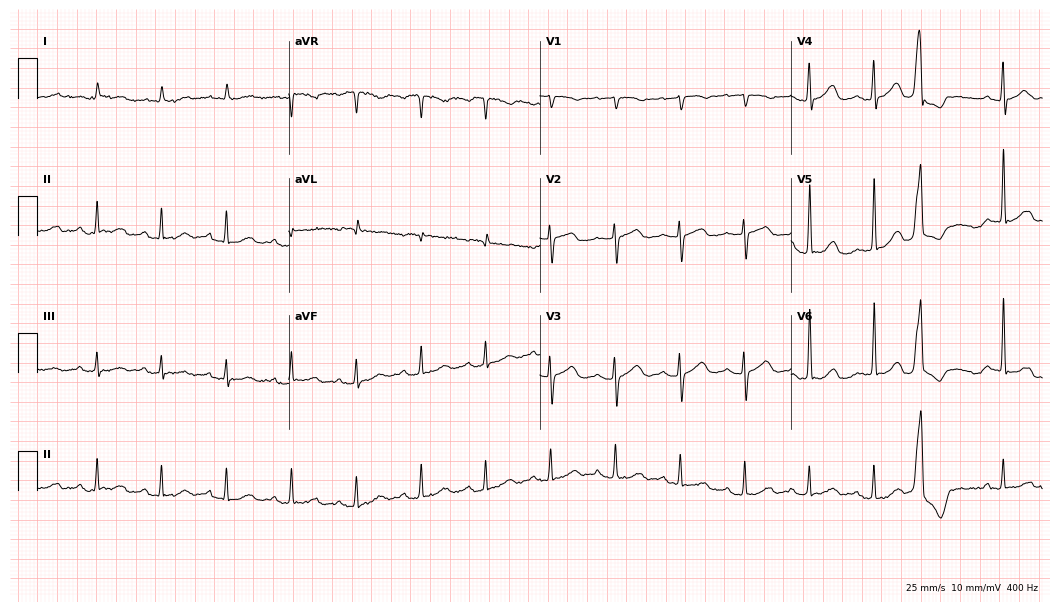
ECG — a 75-year-old female patient. Labelled as a normal ECG.